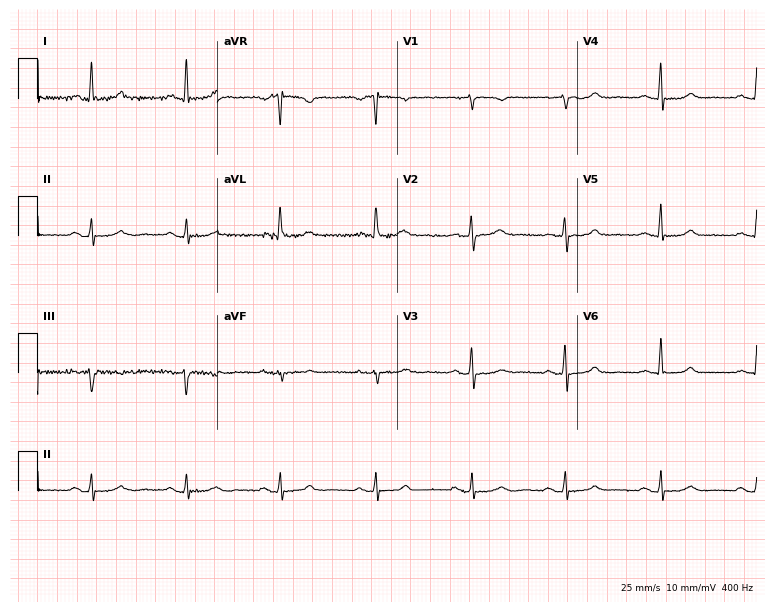
Electrocardiogram, a 61-year-old woman. Overall reading on record: normal ECG.